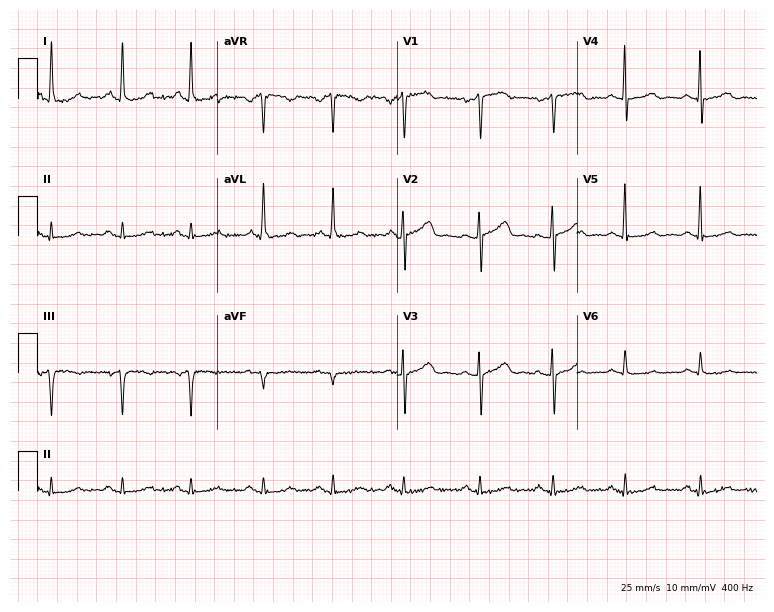
12-lead ECG from a female patient, 63 years old. Screened for six findings — first-degree AV block, right bundle branch block (RBBB), left bundle branch block (LBBB), sinus bradycardia, atrial fibrillation (AF), sinus tachycardia — none is recorded.